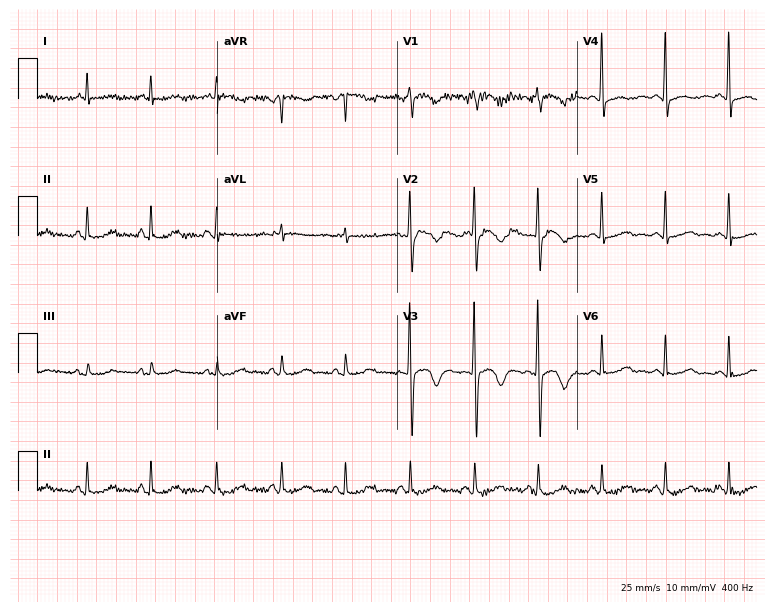
Resting 12-lead electrocardiogram (7.3-second recording at 400 Hz). Patient: a female, 81 years old. None of these six findings is recorded: first-degree AV block, right bundle branch block, left bundle branch block, sinus bradycardia, atrial fibrillation, sinus tachycardia. Other findings, if any, are not listed.